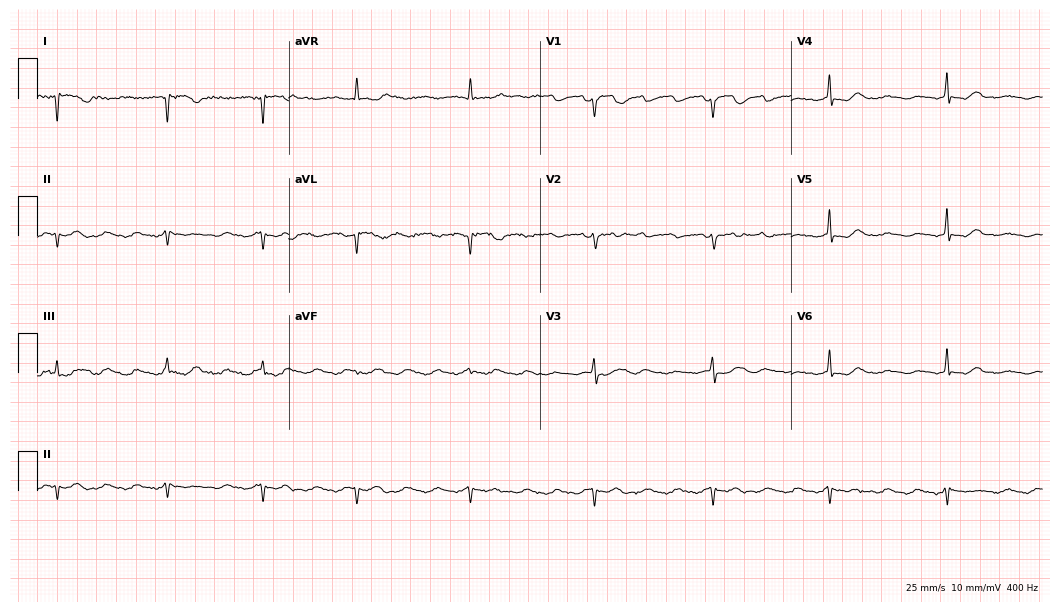
12-lead ECG from a 75-year-old female. No first-degree AV block, right bundle branch block (RBBB), left bundle branch block (LBBB), sinus bradycardia, atrial fibrillation (AF) or sinus tachycardia recorded for this tracing.